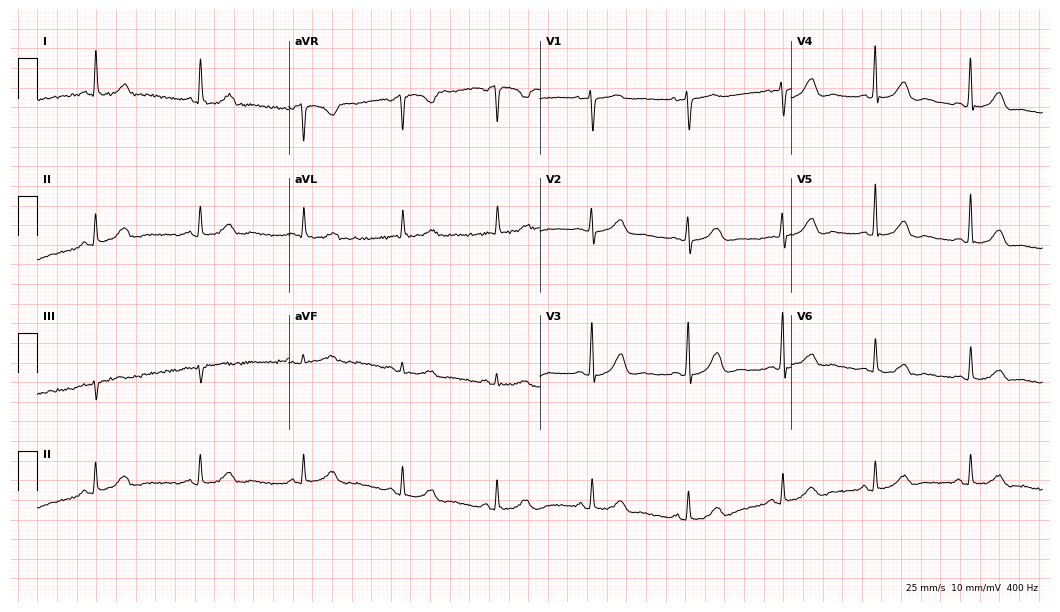
Standard 12-lead ECG recorded from a female, 62 years old (10.2-second recording at 400 Hz). Read as a normal ECG.